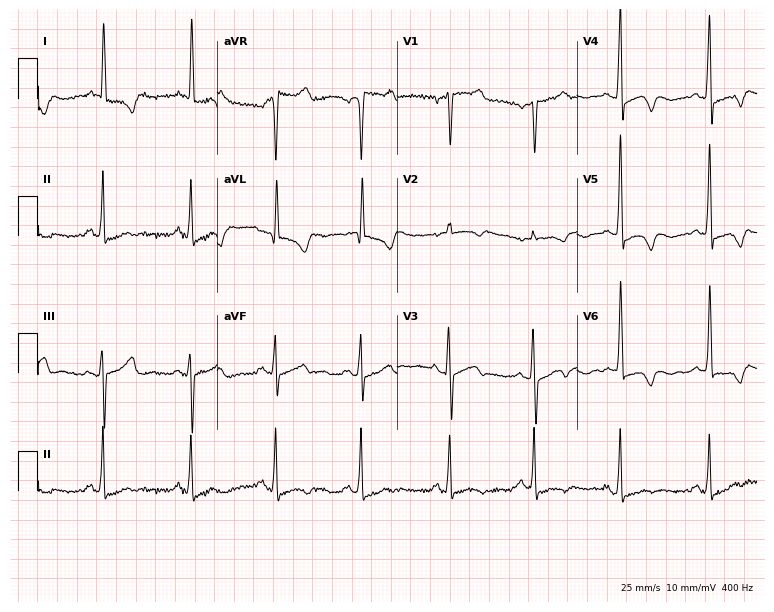
12-lead ECG from a 55-year-old woman. No first-degree AV block, right bundle branch block, left bundle branch block, sinus bradycardia, atrial fibrillation or sinus tachycardia recorded for this tracing. Only these six findings were labelled.